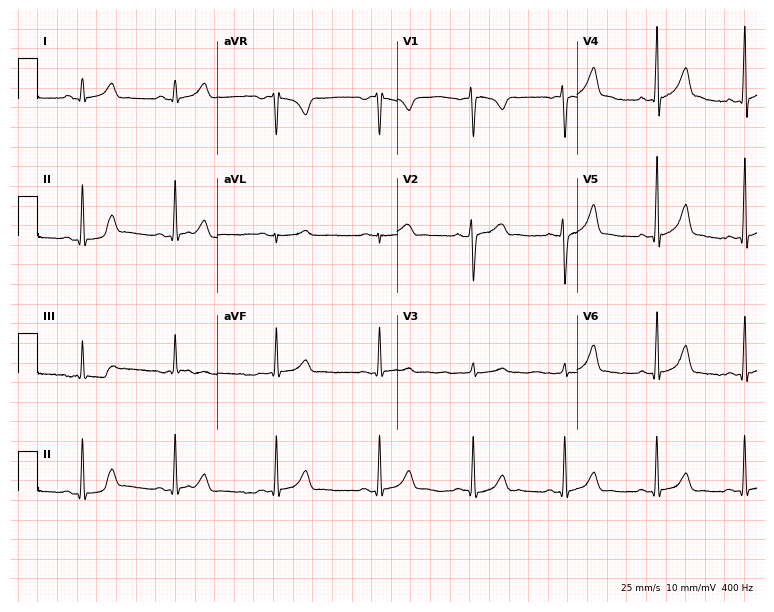
12-lead ECG from a male patient, 19 years old. Recorded interpretation: within normal limits.